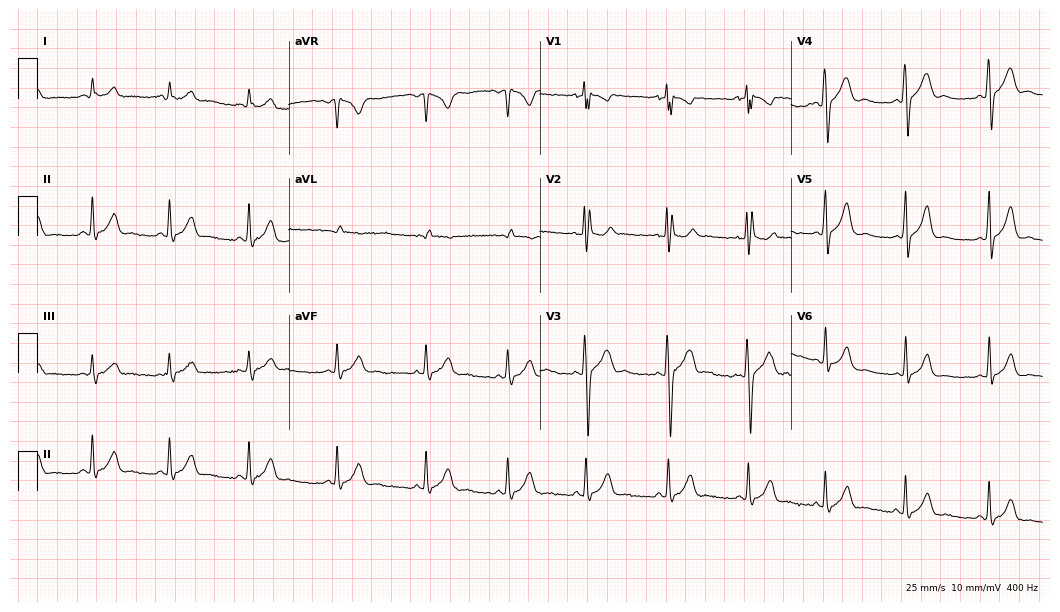
ECG — a 17-year-old male patient. Screened for six findings — first-degree AV block, right bundle branch block (RBBB), left bundle branch block (LBBB), sinus bradycardia, atrial fibrillation (AF), sinus tachycardia — none is recorded.